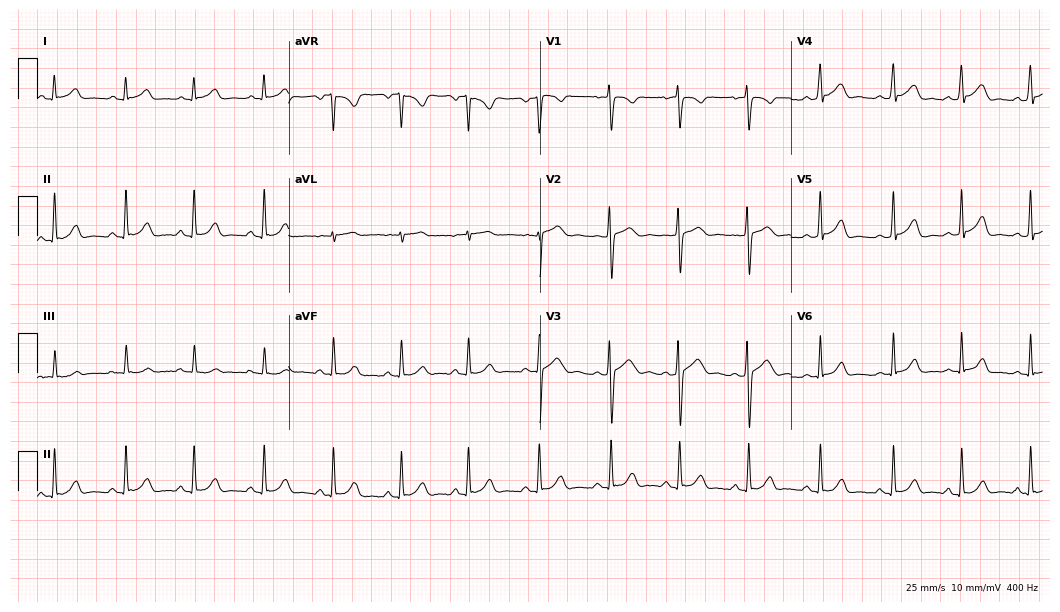
12-lead ECG from a female patient, 26 years old. Recorded interpretation: within normal limits.